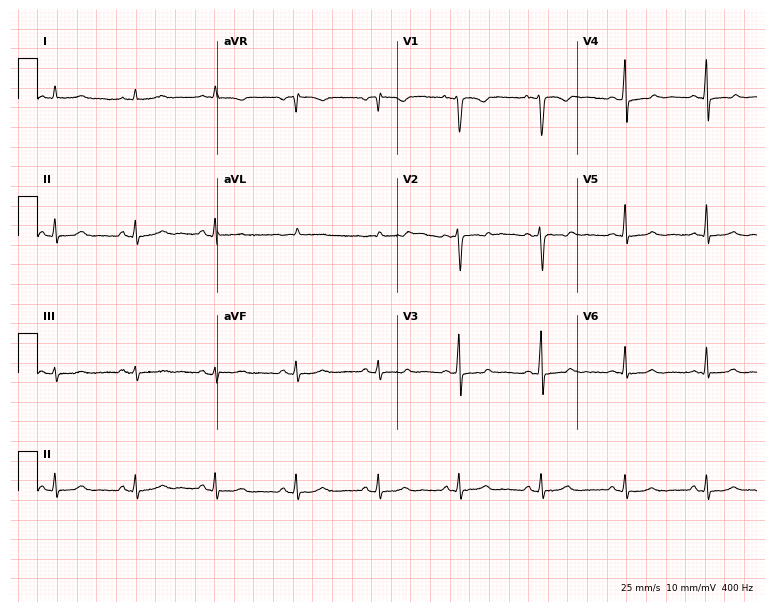
Standard 12-lead ECG recorded from a 45-year-old female patient (7.3-second recording at 400 Hz). None of these six findings is recorded: first-degree AV block, right bundle branch block (RBBB), left bundle branch block (LBBB), sinus bradycardia, atrial fibrillation (AF), sinus tachycardia. Findings outside these six are not listed.